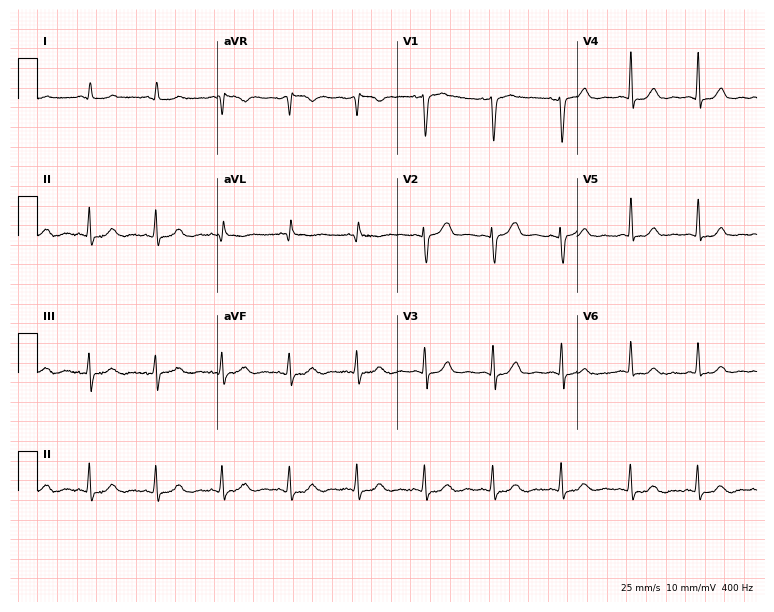
Resting 12-lead electrocardiogram. Patient: a 39-year-old woman. Read as a normal ECG.